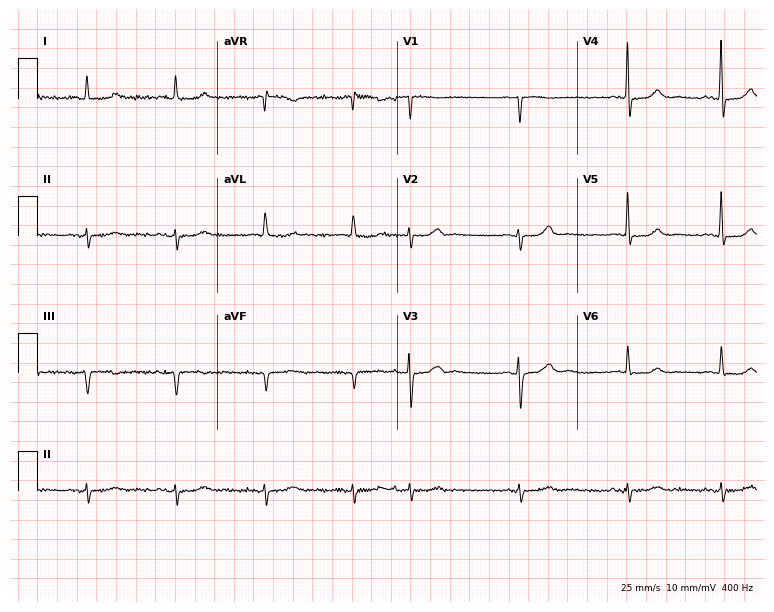
Standard 12-lead ECG recorded from a female aged 90 or older (7.3-second recording at 400 Hz). None of these six findings is recorded: first-degree AV block, right bundle branch block, left bundle branch block, sinus bradycardia, atrial fibrillation, sinus tachycardia.